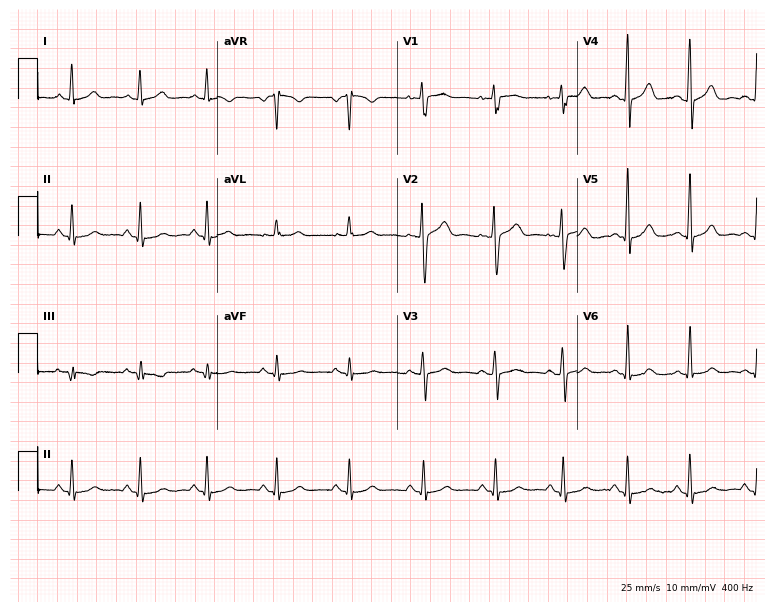
Standard 12-lead ECG recorded from a 32-year-old female patient. None of these six findings is recorded: first-degree AV block, right bundle branch block (RBBB), left bundle branch block (LBBB), sinus bradycardia, atrial fibrillation (AF), sinus tachycardia.